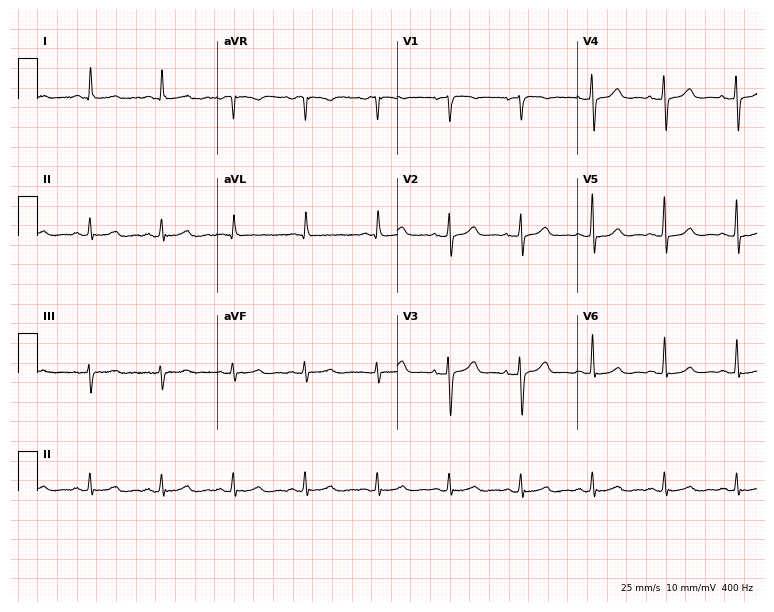
Electrocardiogram, a 69-year-old male. Overall reading on record: normal ECG.